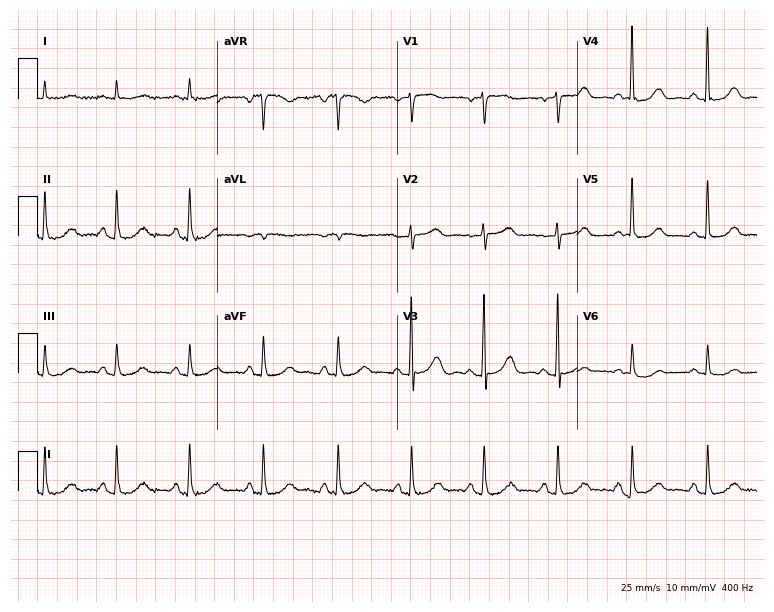
ECG (7.3-second recording at 400 Hz) — a 77-year-old female. Screened for six findings — first-degree AV block, right bundle branch block (RBBB), left bundle branch block (LBBB), sinus bradycardia, atrial fibrillation (AF), sinus tachycardia — none is recorded. Findings outside these six are not listed.